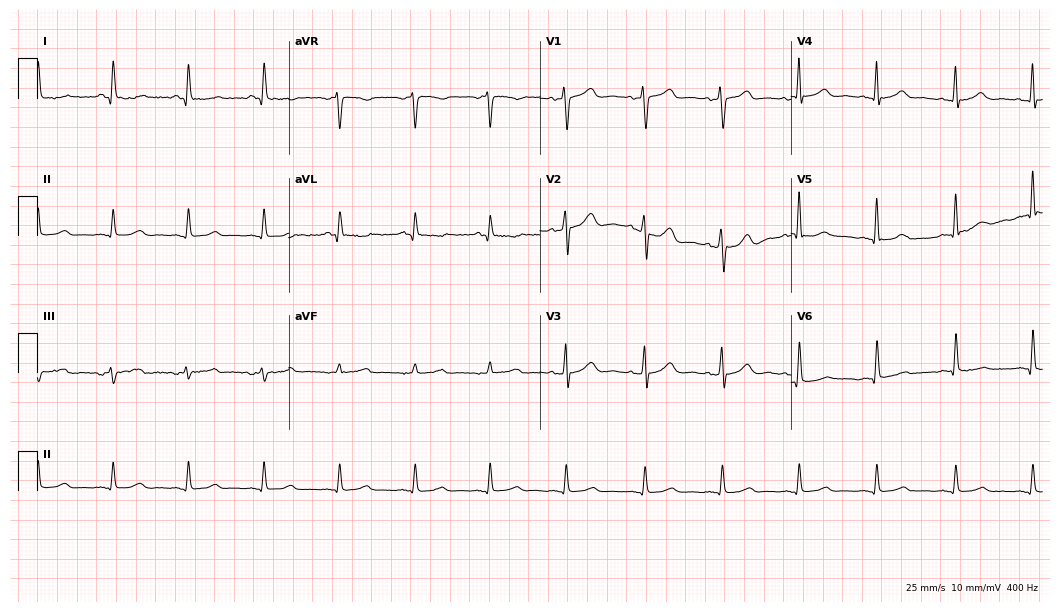
12-lead ECG from a female patient, 52 years old. Labelled as a normal ECG.